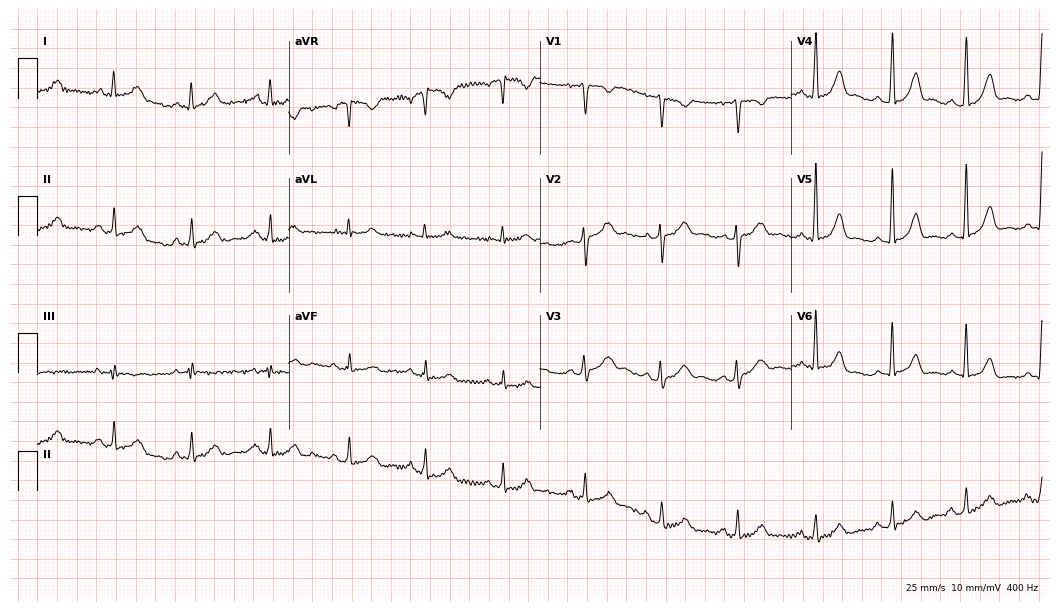
Standard 12-lead ECG recorded from a female patient, 30 years old. None of these six findings is recorded: first-degree AV block, right bundle branch block (RBBB), left bundle branch block (LBBB), sinus bradycardia, atrial fibrillation (AF), sinus tachycardia.